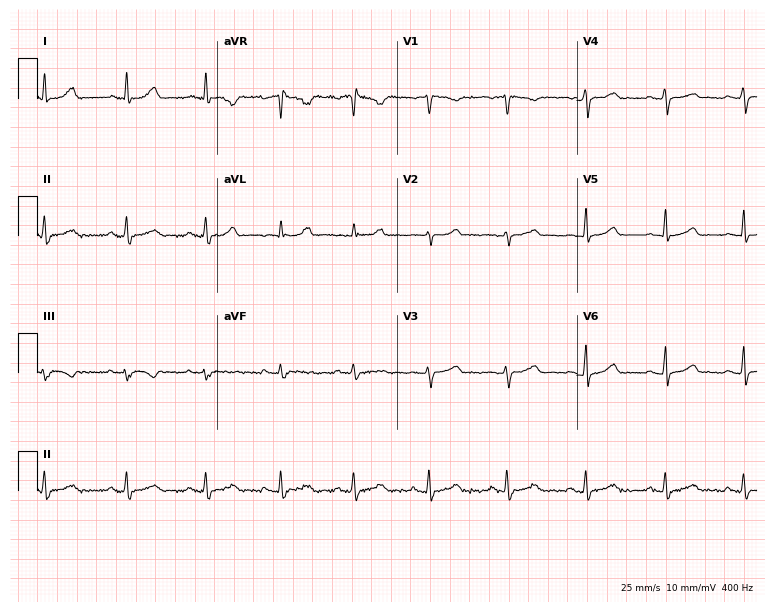
12-lead ECG from a woman, 39 years old. Recorded interpretation: within normal limits.